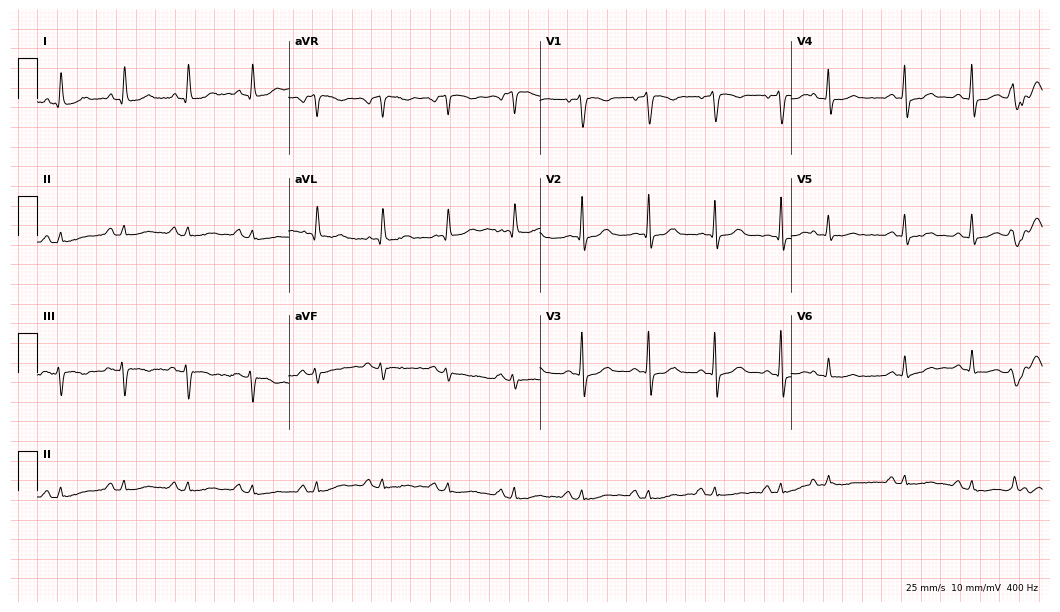
Electrocardiogram (10.2-second recording at 400 Hz), a man, 78 years old. Of the six screened findings (first-degree AV block, right bundle branch block, left bundle branch block, sinus bradycardia, atrial fibrillation, sinus tachycardia), none is recorded. Only these six findings were labelled.